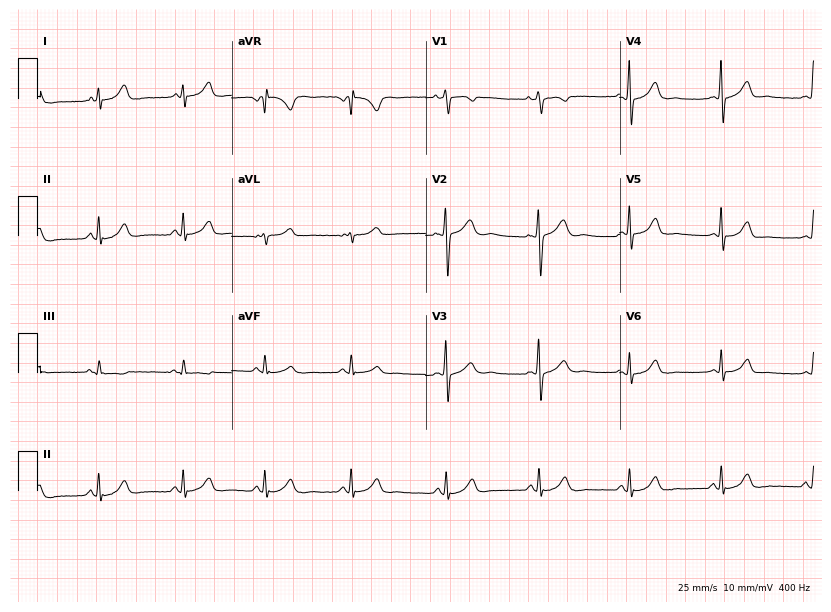
Resting 12-lead electrocardiogram. Patient: a woman, 32 years old. None of these six findings is recorded: first-degree AV block, right bundle branch block, left bundle branch block, sinus bradycardia, atrial fibrillation, sinus tachycardia.